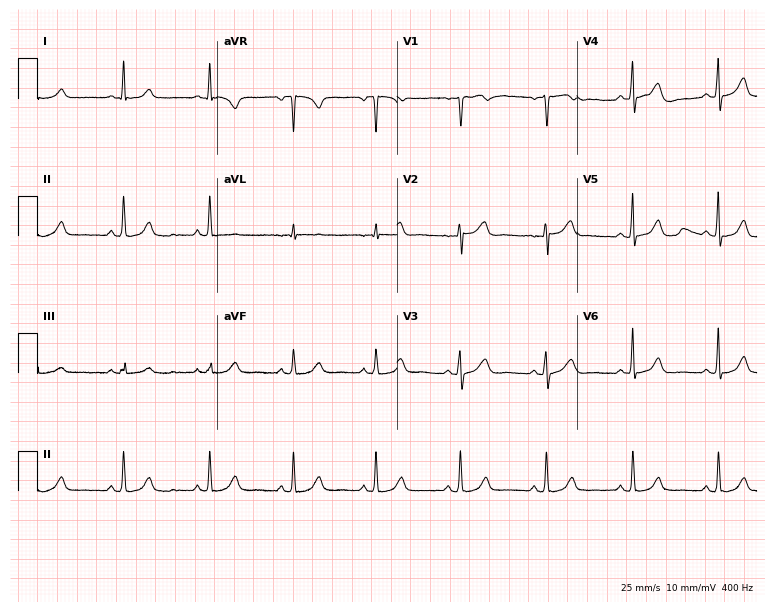
12-lead ECG (7.3-second recording at 400 Hz) from a female, 56 years old. Labelled as a normal ECG.